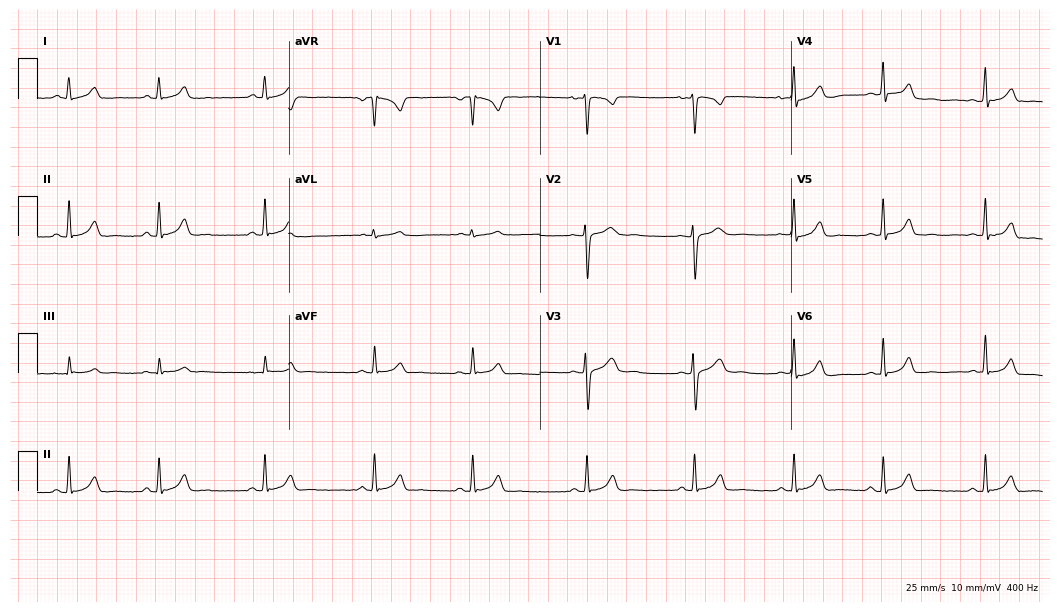
ECG — a 23-year-old woman. Screened for six findings — first-degree AV block, right bundle branch block, left bundle branch block, sinus bradycardia, atrial fibrillation, sinus tachycardia — none is recorded. Only these six findings were labelled.